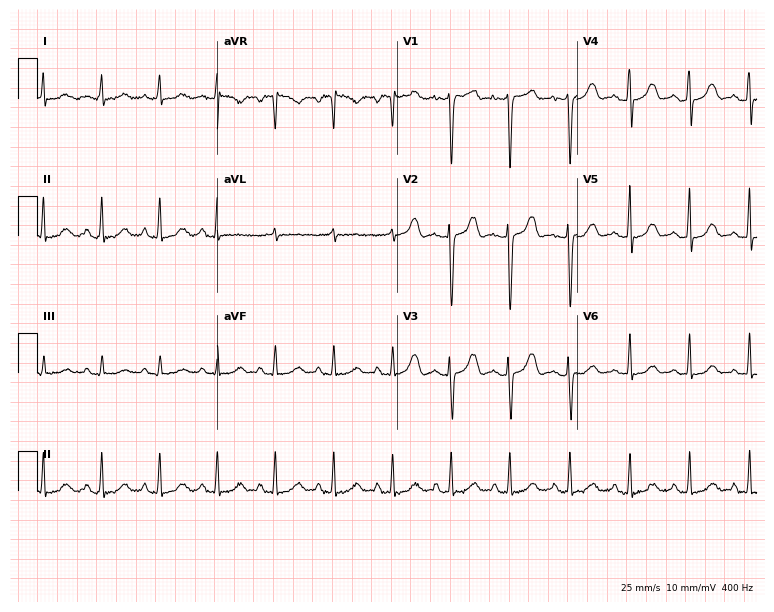
ECG (7.3-second recording at 400 Hz) — a 34-year-old female. Labelled as a normal ECG.